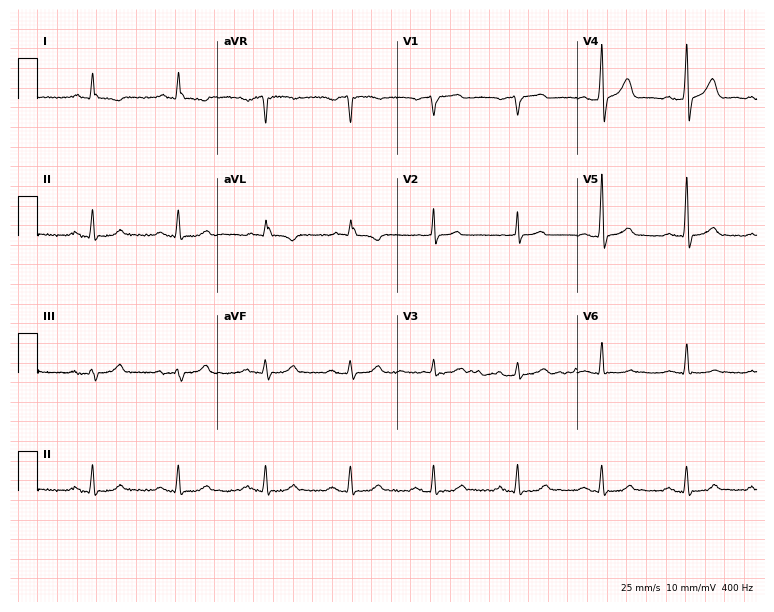
12-lead ECG from a 70-year-old male. No first-degree AV block, right bundle branch block, left bundle branch block, sinus bradycardia, atrial fibrillation or sinus tachycardia recorded for this tracing.